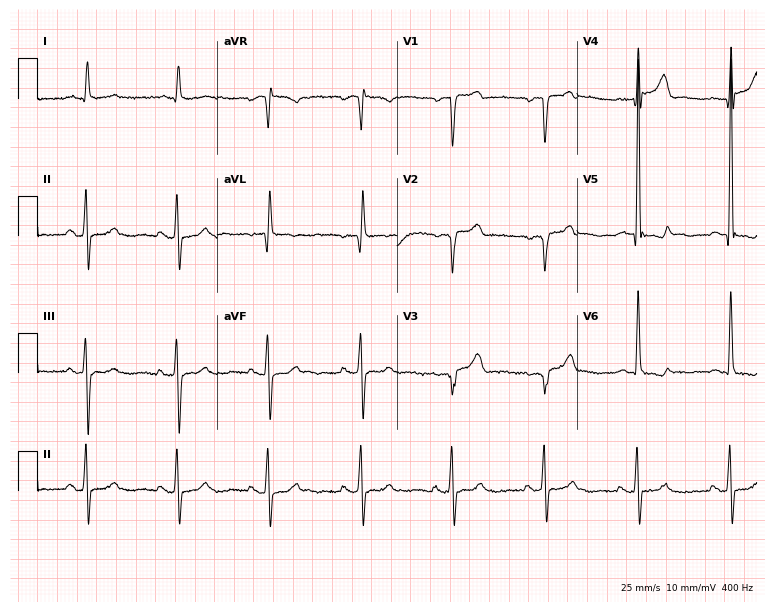
Standard 12-lead ECG recorded from a 71-year-old male. None of these six findings is recorded: first-degree AV block, right bundle branch block, left bundle branch block, sinus bradycardia, atrial fibrillation, sinus tachycardia. Findings outside these six are not listed.